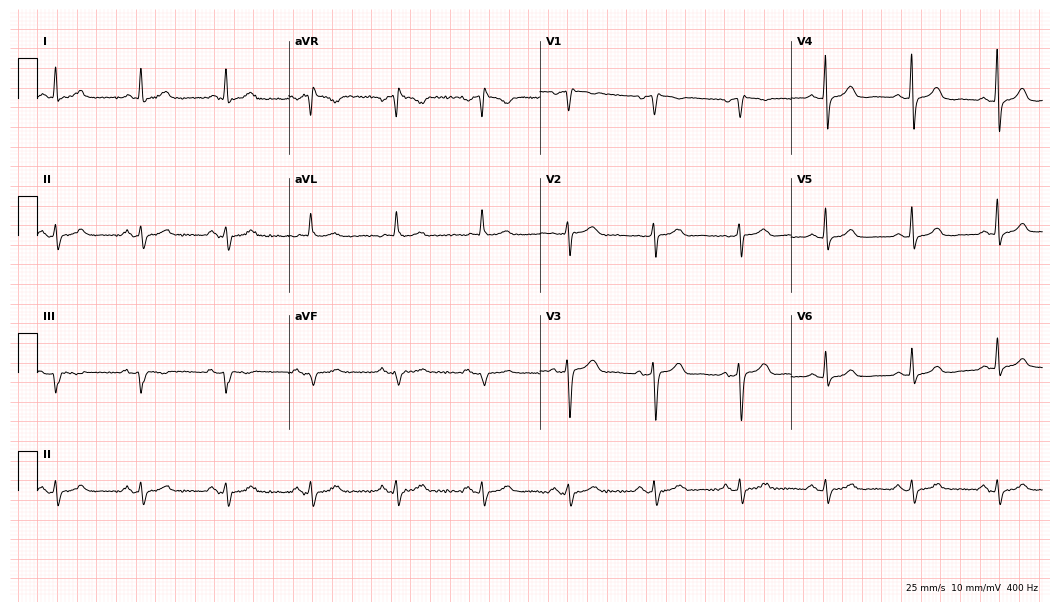
ECG (10.2-second recording at 400 Hz) — a woman, 69 years old. Labelled as a normal ECG.